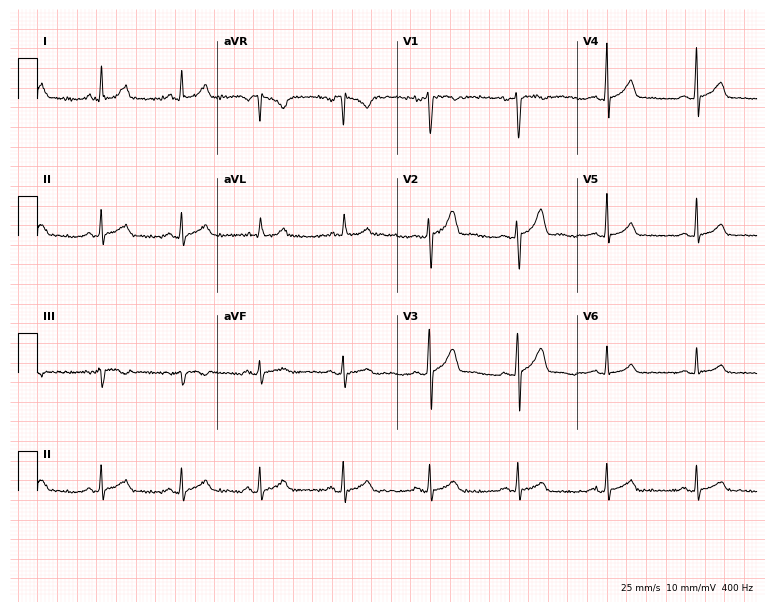
12-lead ECG from a 37-year-old man. Recorded interpretation: within normal limits.